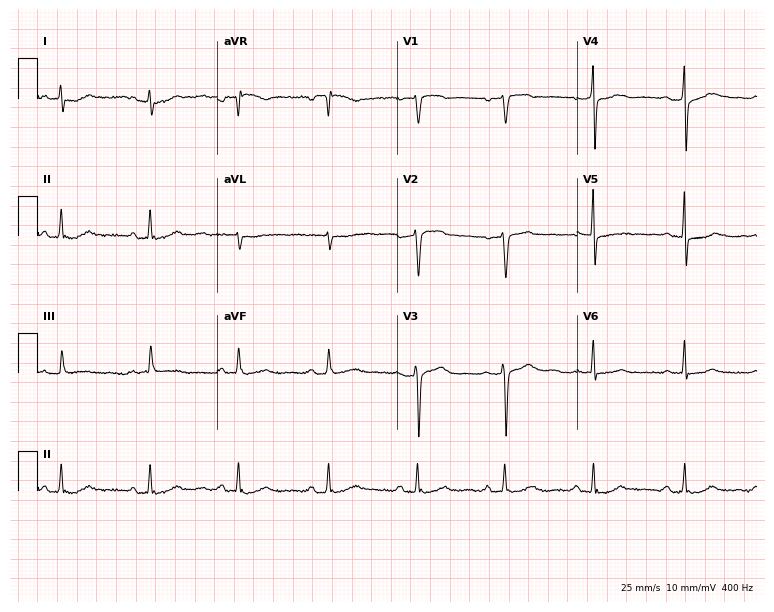
Electrocardiogram (7.3-second recording at 400 Hz), a male patient, 51 years old. Of the six screened findings (first-degree AV block, right bundle branch block, left bundle branch block, sinus bradycardia, atrial fibrillation, sinus tachycardia), none is recorded. Other findings, if any, are not listed.